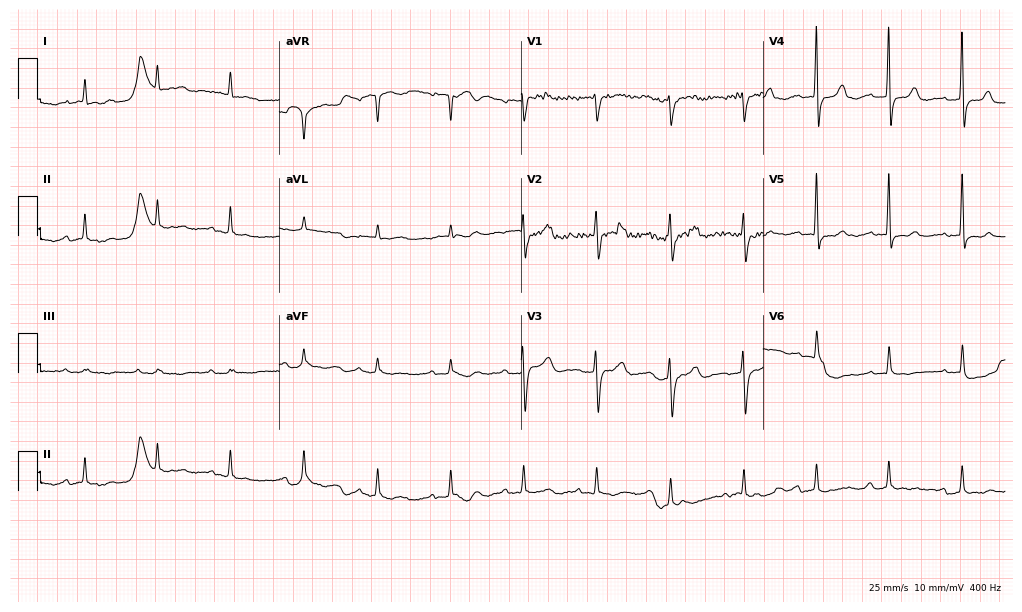
ECG (9.9-second recording at 400 Hz) — a female patient, 57 years old. Screened for six findings — first-degree AV block, right bundle branch block (RBBB), left bundle branch block (LBBB), sinus bradycardia, atrial fibrillation (AF), sinus tachycardia — none is recorded. Findings outside these six are not listed.